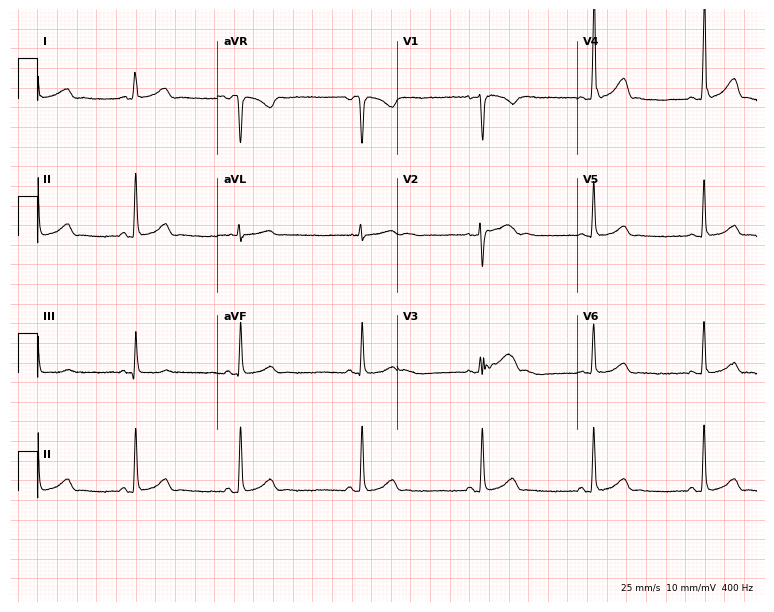
Electrocardiogram (7.3-second recording at 400 Hz), a 27-year-old female. Of the six screened findings (first-degree AV block, right bundle branch block, left bundle branch block, sinus bradycardia, atrial fibrillation, sinus tachycardia), none is recorded. Only these six findings were labelled.